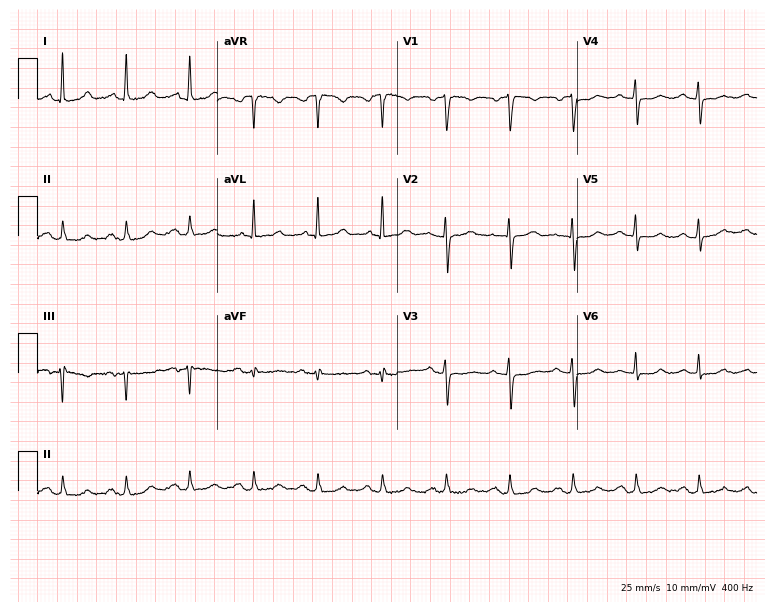
Resting 12-lead electrocardiogram (7.3-second recording at 400 Hz). Patient: a 53-year-old woman. Read as a normal ECG.